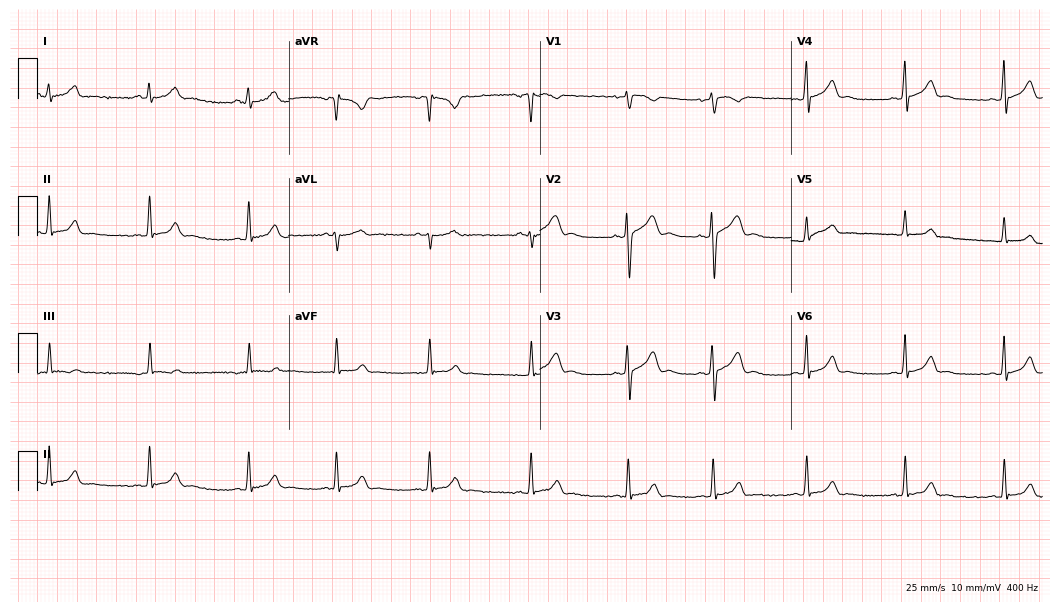
Resting 12-lead electrocardiogram. Patient: a female, 17 years old. Read as a normal ECG.